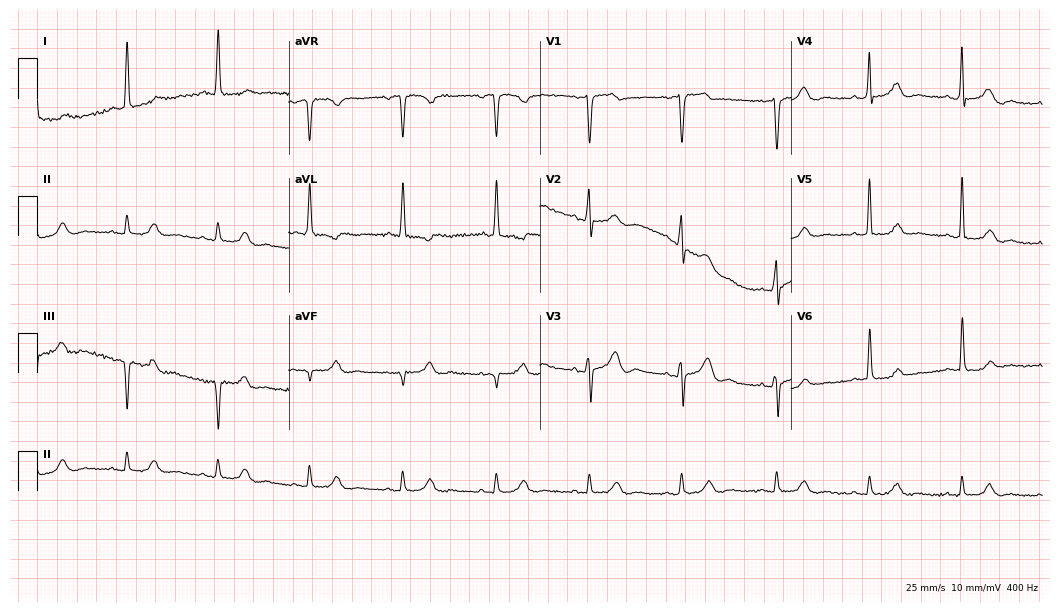
12-lead ECG from a woman, 76 years old. Labelled as a normal ECG.